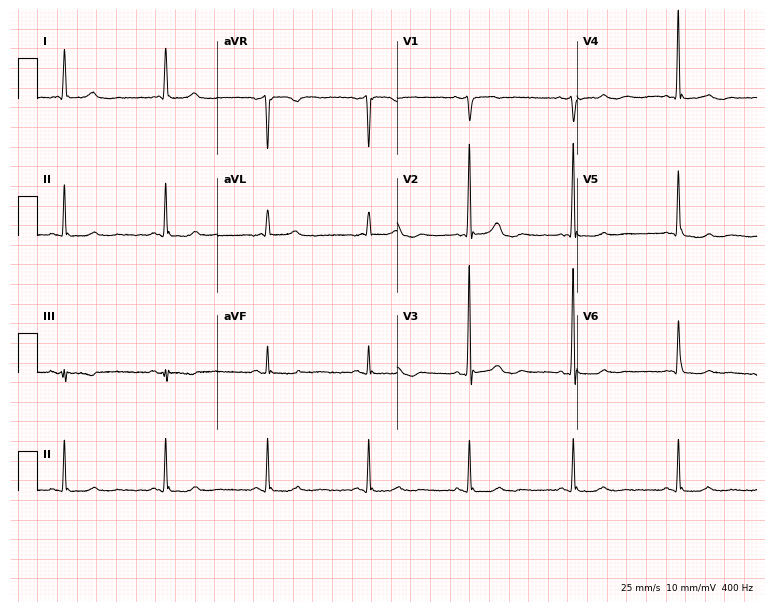
Electrocardiogram, a woman, 85 years old. Of the six screened findings (first-degree AV block, right bundle branch block, left bundle branch block, sinus bradycardia, atrial fibrillation, sinus tachycardia), none is recorded. Other findings, if any, are not listed.